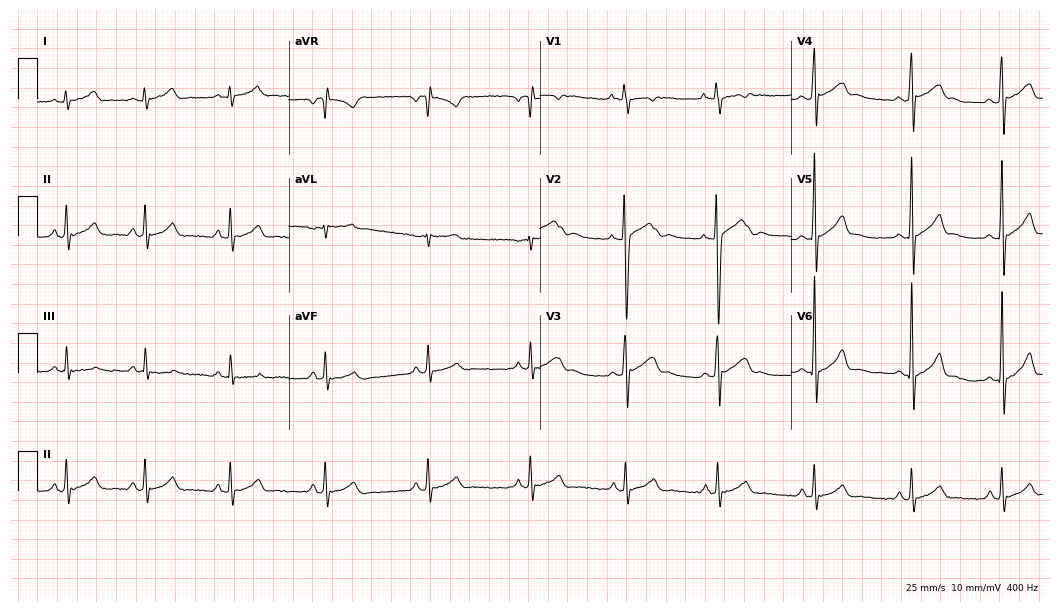
Electrocardiogram, a 17-year-old man. Overall reading on record: normal ECG.